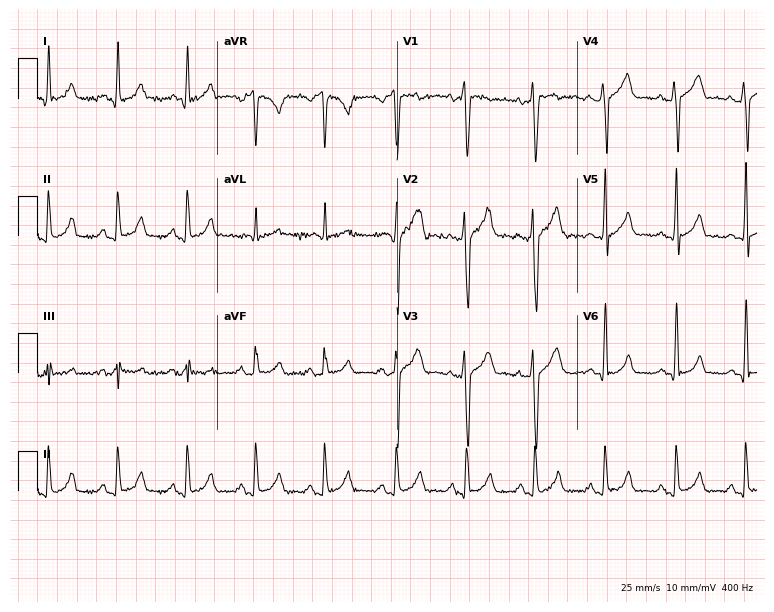
Standard 12-lead ECG recorded from a man, 18 years old (7.3-second recording at 400 Hz). Read as a normal ECG.